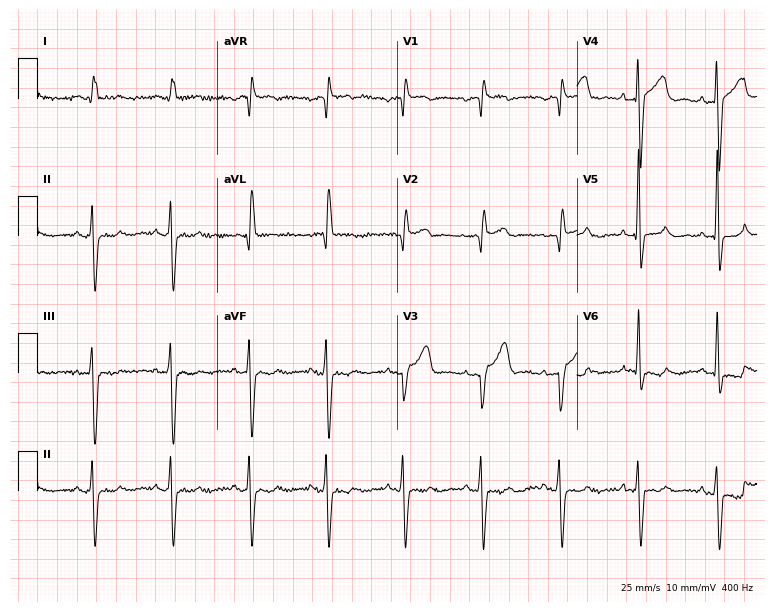
Electrocardiogram (7.3-second recording at 400 Hz), a 68-year-old man. Of the six screened findings (first-degree AV block, right bundle branch block, left bundle branch block, sinus bradycardia, atrial fibrillation, sinus tachycardia), none is recorded.